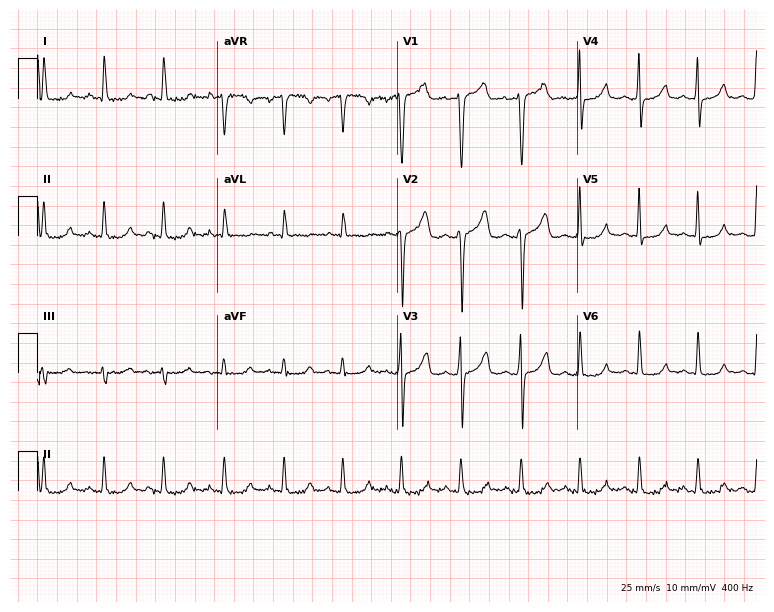
ECG (7.3-second recording at 400 Hz) — a woman, 49 years old. Screened for six findings — first-degree AV block, right bundle branch block, left bundle branch block, sinus bradycardia, atrial fibrillation, sinus tachycardia — none is recorded.